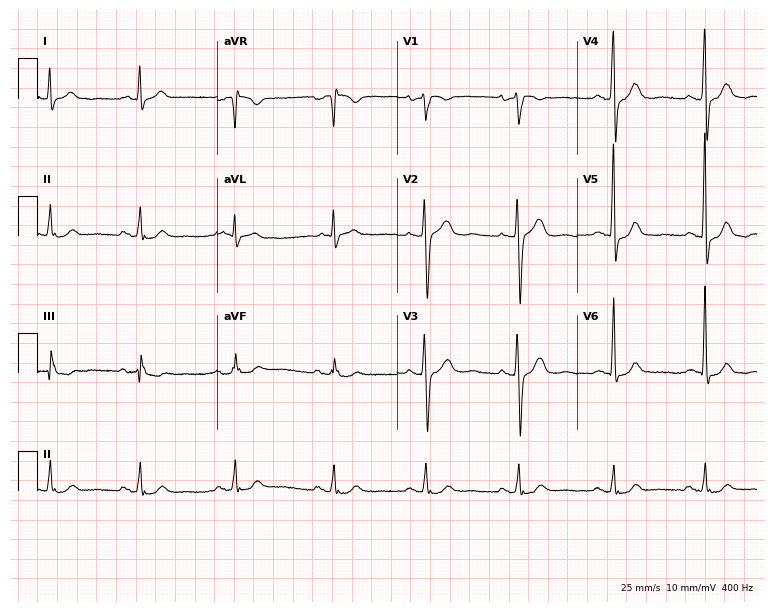
ECG (7.3-second recording at 400 Hz) — a female, 61 years old. Screened for six findings — first-degree AV block, right bundle branch block (RBBB), left bundle branch block (LBBB), sinus bradycardia, atrial fibrillation (AF), sinus tachycardia — none is recorded. Findings outside these six are not listed.